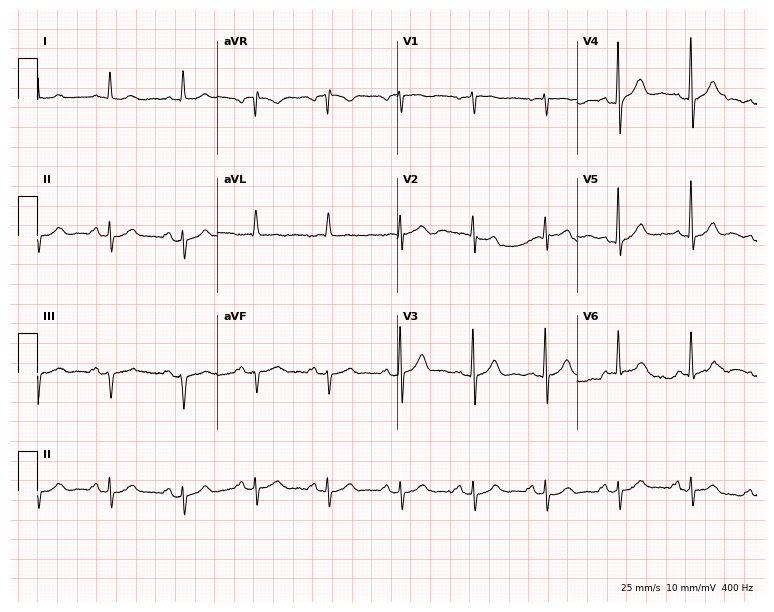
12-lead ECG (7.3-second recording at 400 Hz) from a man, 73 years old. Screened for six findings — first-degree AV block, right bundle branch block, left bundle branch block, sinus bradycardia, atrial fibrillation, sinus tachycardia — none is recorded.